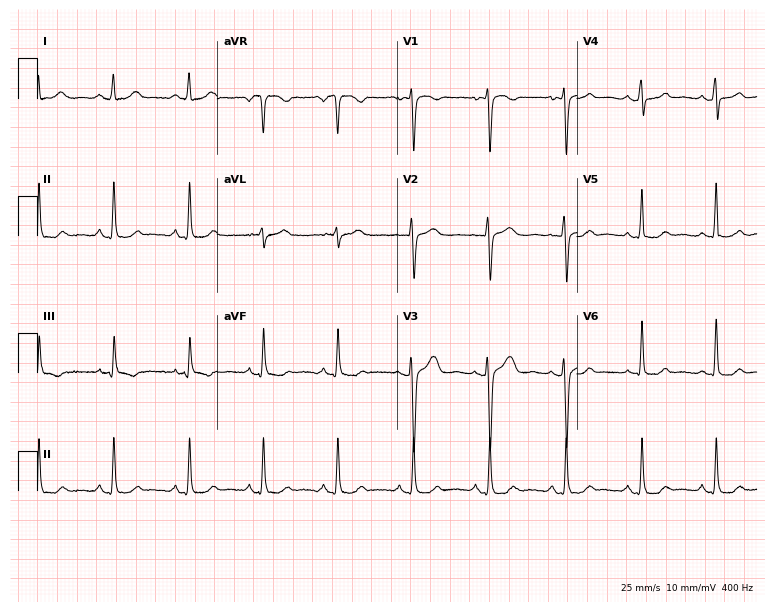
ECG (7.3-second recording at 400 Hz) — a female, 29 years old. Labelled as a normal ECG.